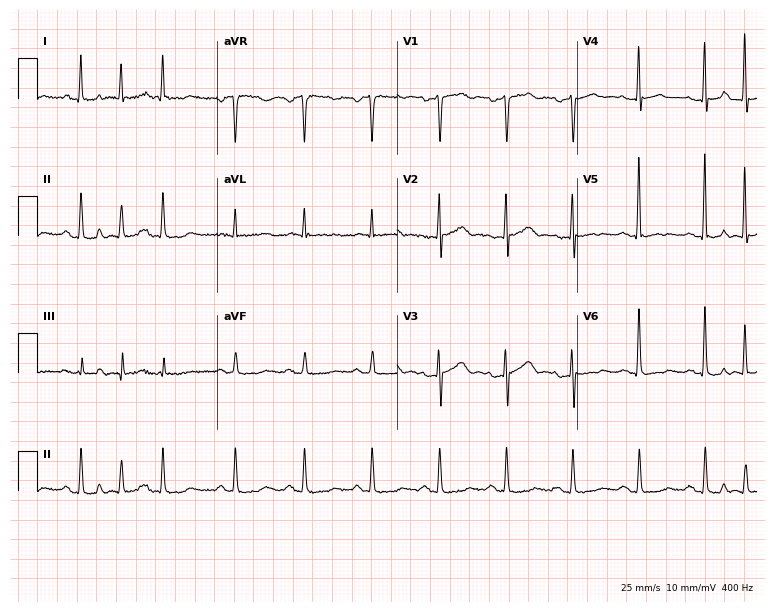
Standard 12-lead ECG recorded from a female, 83 years old (7.3-second recording at 400 Hz). None of these six findings is recorded: first-degree AV block, right bundle branch block, left bundle branch block, sinus bradycardia, atrial fibrillation, sinus tachycardia. Other findings, if any, are not listed.